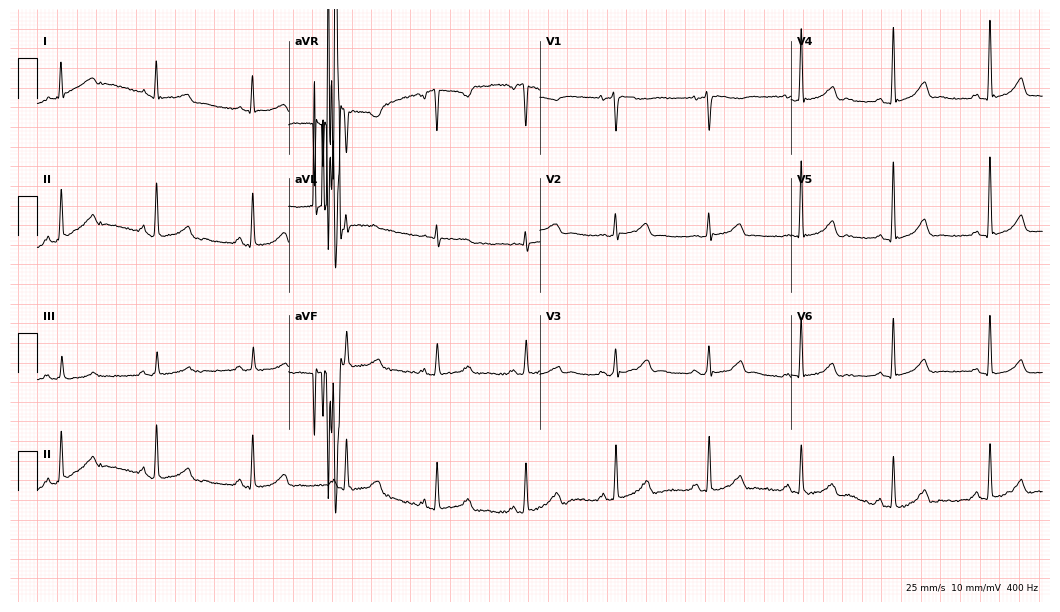
12-lead ECG from a female, 62 years old. Recorded interpretation: within normal limits.